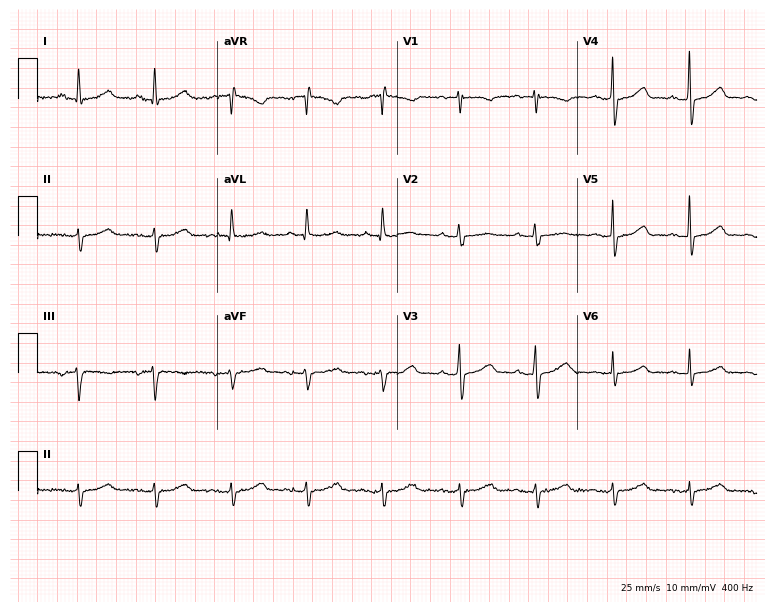
Resting 12-lead electrocardiogram (7.3-second recording at 400 Hz). Patient: a female, 85 years old. None of these six findings is recorded: first-degree AV block, right bundle branch block, left bundle branch block, sinus bradycardia, atrial fibrillation, sinus tachycardia.